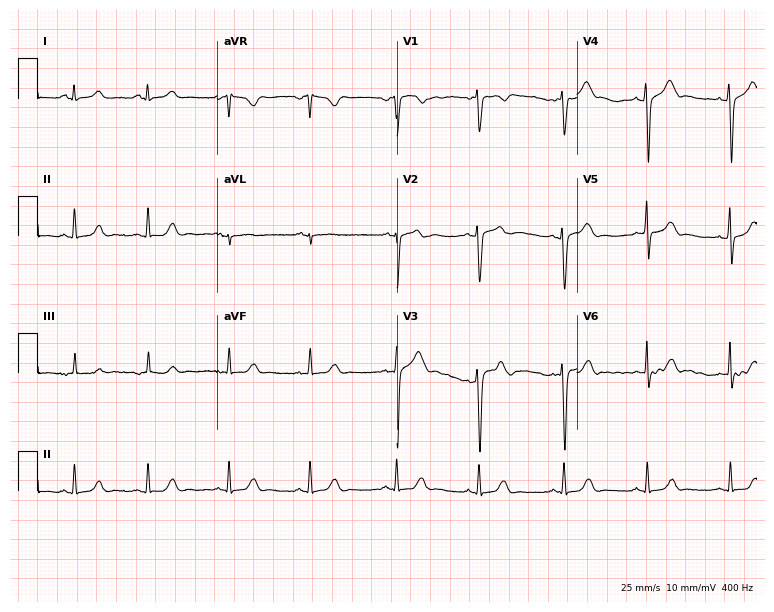
ECG (7.3-second recording at 400 Hz) — a female patient, 17 years old. Labelled as a normal ECG.